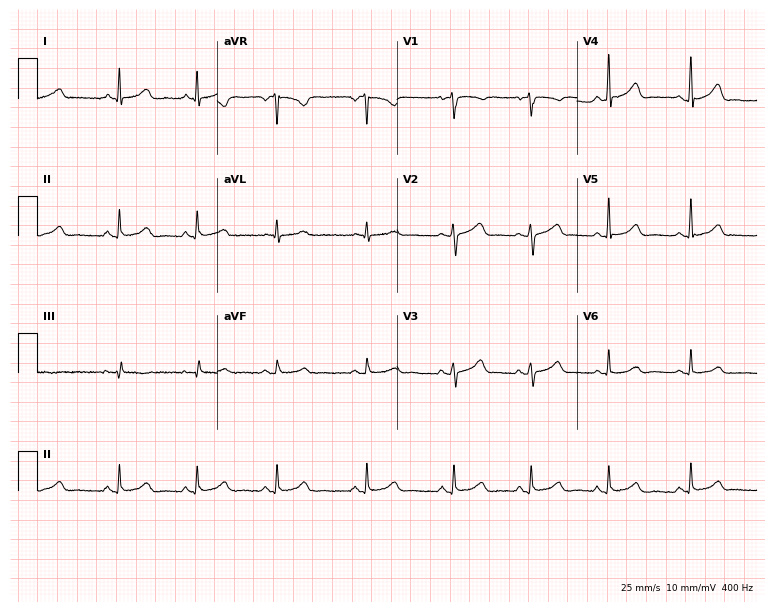
Electrocardiogram (7.3-second recording at 400 Hz), a female, 41 years old. Overall reading on record: normal ECG.